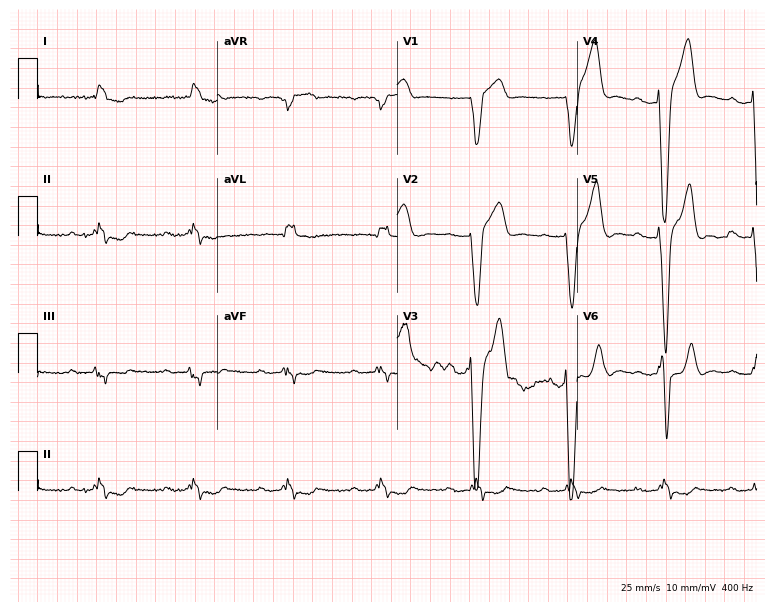
Electrocardiogram (7.3-second recording at 400 Hz), a man, 84 years old. Interpretation includes left bundle branch block.